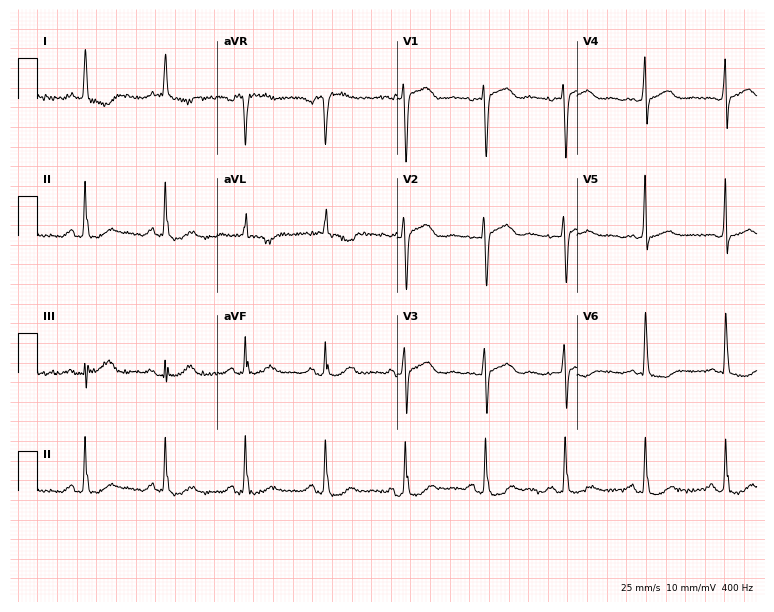
Standard 12-lead ECG recorded from a 73-year-old female patient. None of these six findings is recorded: first-degree AV block, right bundle branch block, left bundle branch block, sinus bradycardia, atrial fibrillation, sinus tachycardia. Other findings, if any, are not listed.